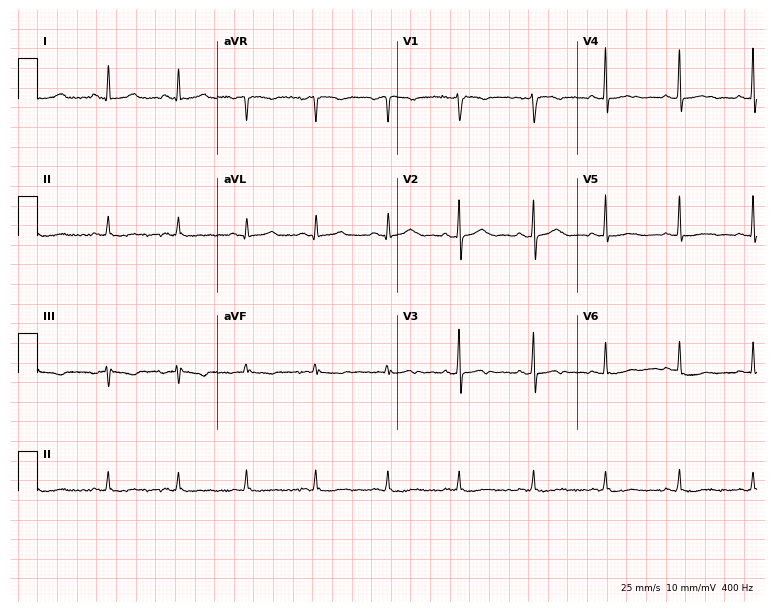
Resting 12-lead electrocardiogram. Patient: a 31-year-old woman. None of these six findings is recorded: first-degree AV block, right bundle branch block, left bundle branch block, sinus bradycardia, atrial fibrillation, sinus tachycardia.